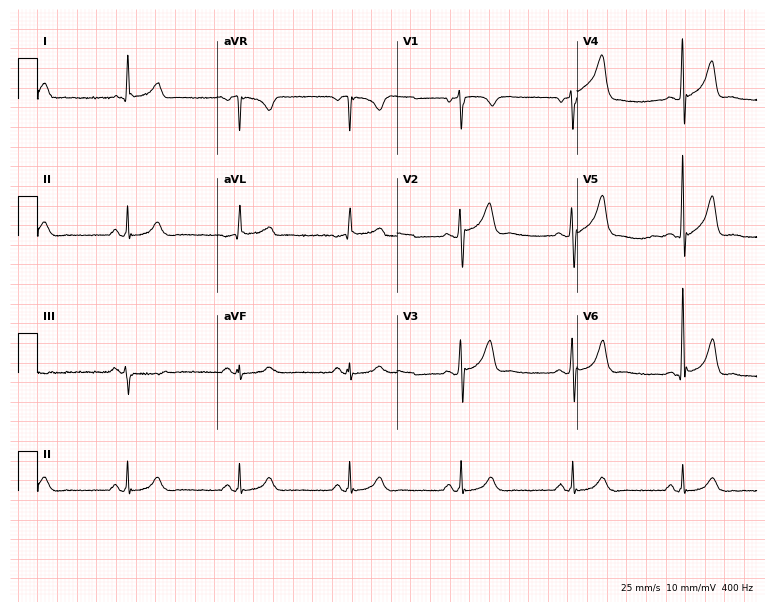
12-lead ECG from a male, 63 years old. Labelled as a normal ECG.